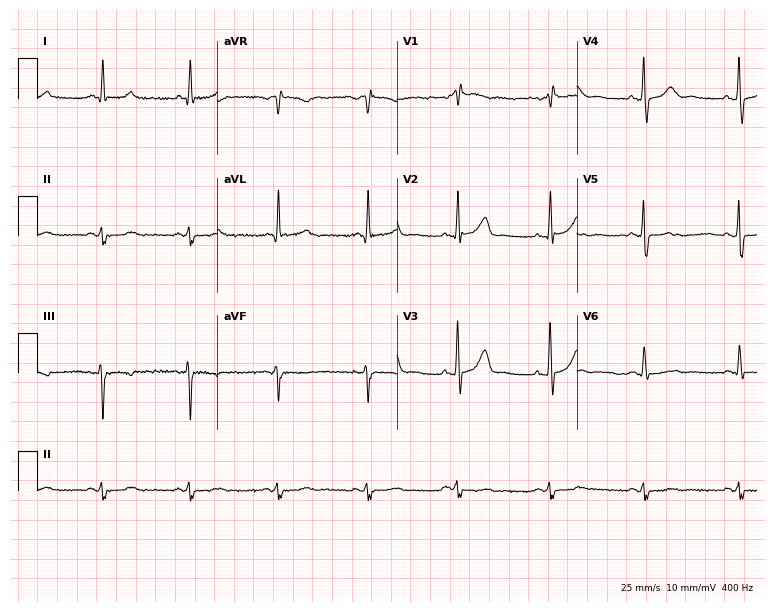
ECG (7.3-second recording at 400 Hz) — a male, 71 years old. Screened for six findings — first-degree AV block, right bundle branch block (RBBB), left bundle branch block (LBBB), sinus bradycardia, atrial fibrillation (AF), sinus tachycardia — none is recorded. Other findings, if any, are not listed.